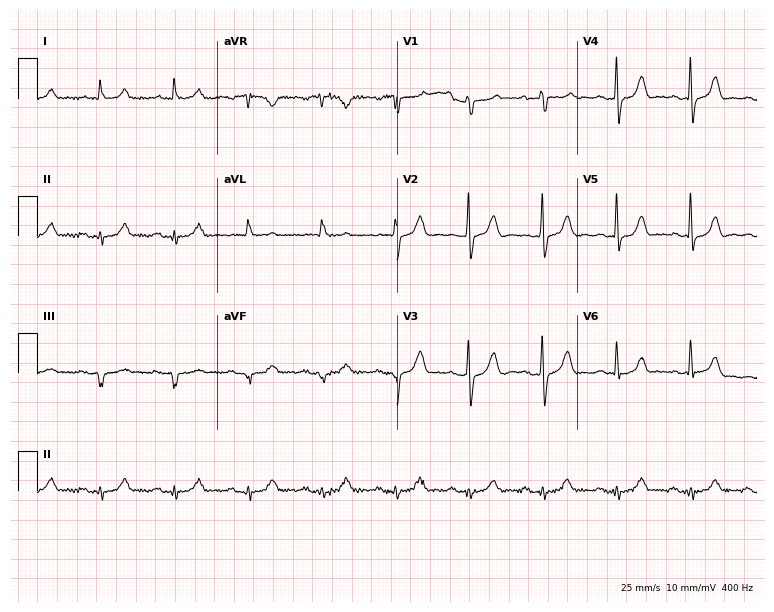
Standard 12-lead ECG recorded from an 85-year-old male. Read as a normal ECG.